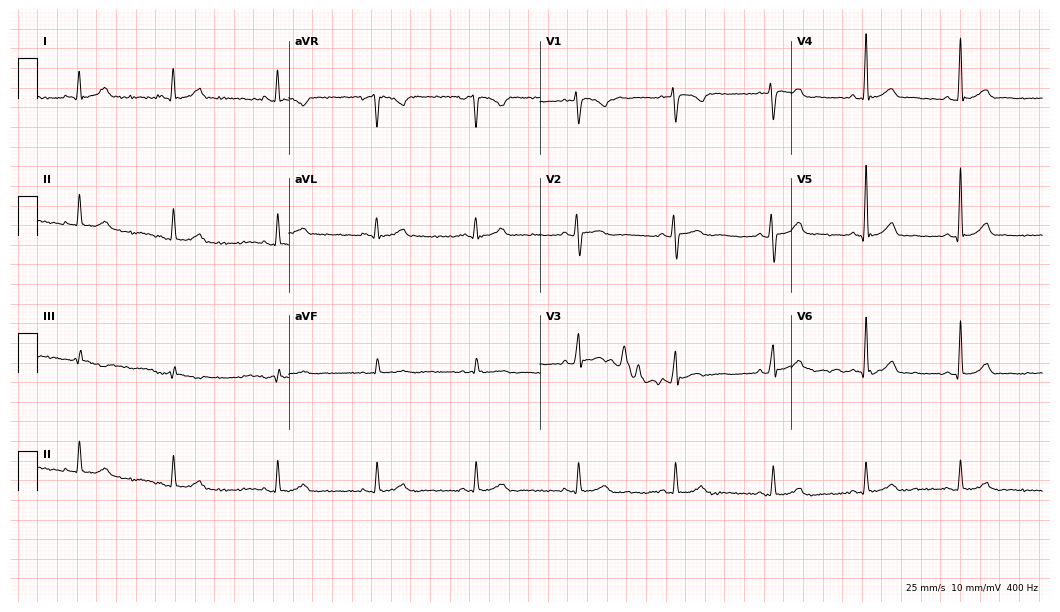
Standard 12-lead ECG recorded from a 29-year-old male (10.2-second recording at 400 Hz). Read as a normal ECG.